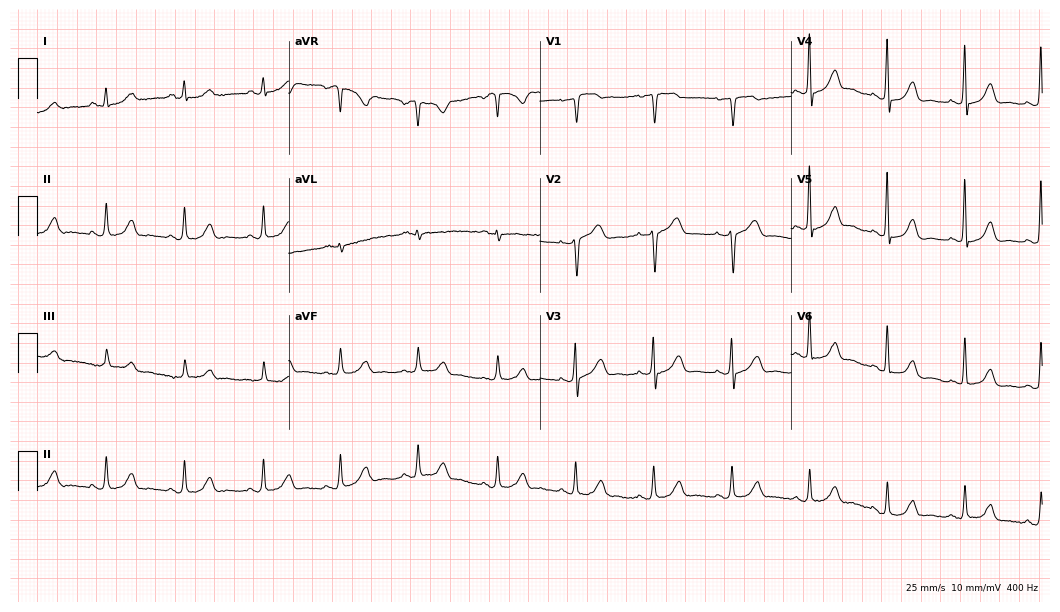
12-lead ECG from a female patient, 63 years old. Recorded interpretation: within normal limits.